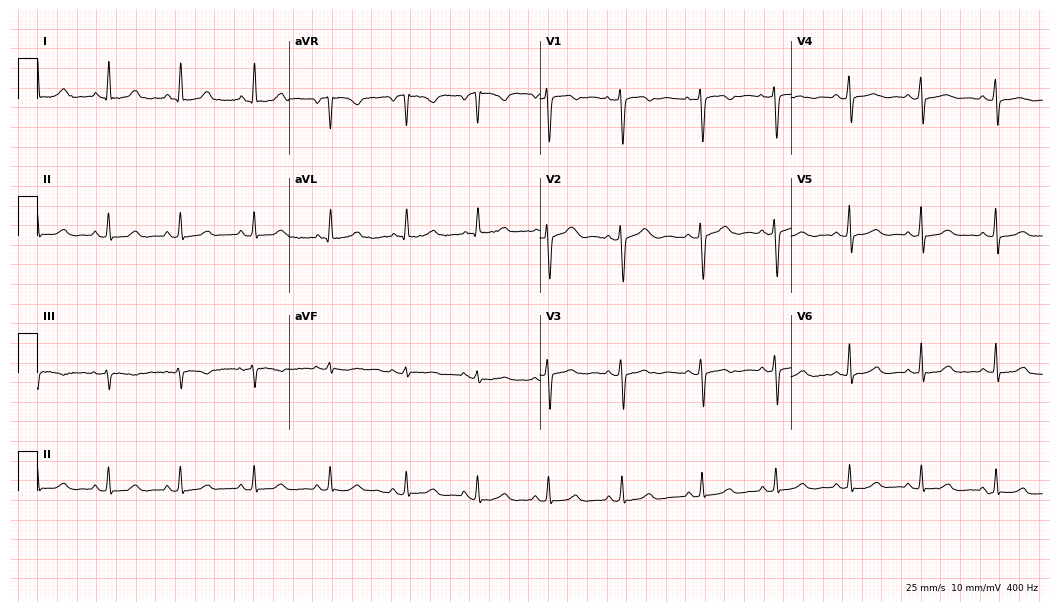
12-lead ECG from a 50-year-old woman (10.2-second recording at 400 Hz). Recorded interpretation: within normal limits.